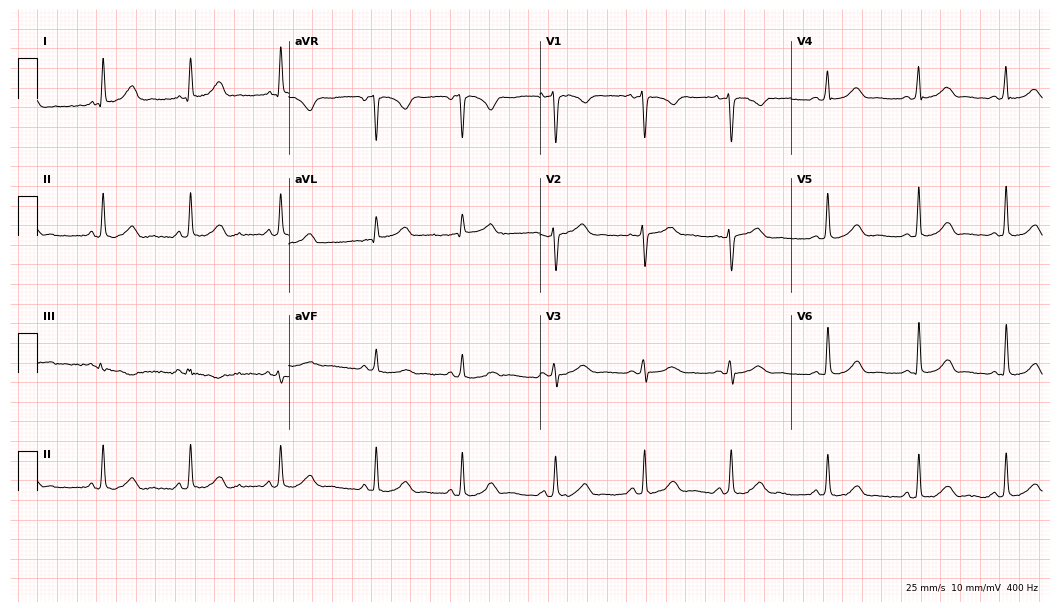
12-lead ECG from a female, 38 years old. Labelled as a normal ECG.